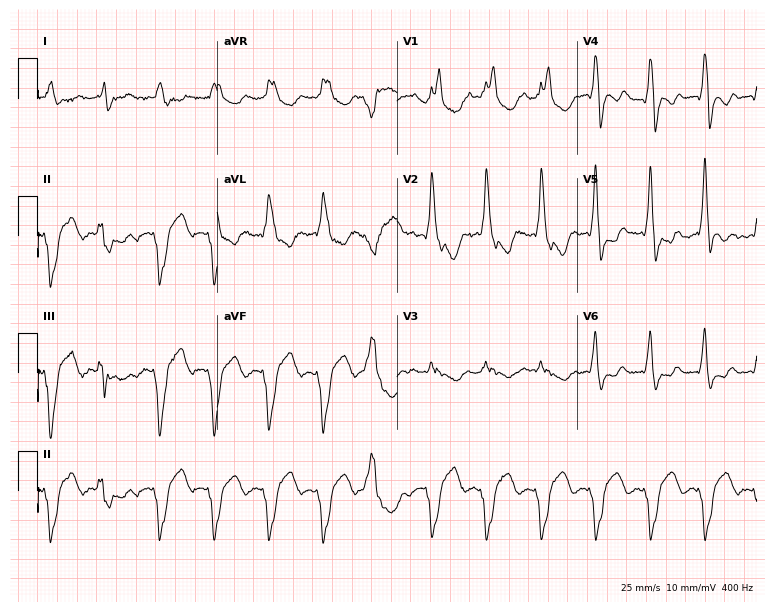
Electrocardiogram (7.3-second recording at 400 Hz), a male, 50 years old. Of the six screened findings (first-degree AV block, right bundle branch block, left bundle branch block, sinus bradycardia, atrial fibrillation, sinus tachycardia), none is recorded. Only these six findings were labelled.